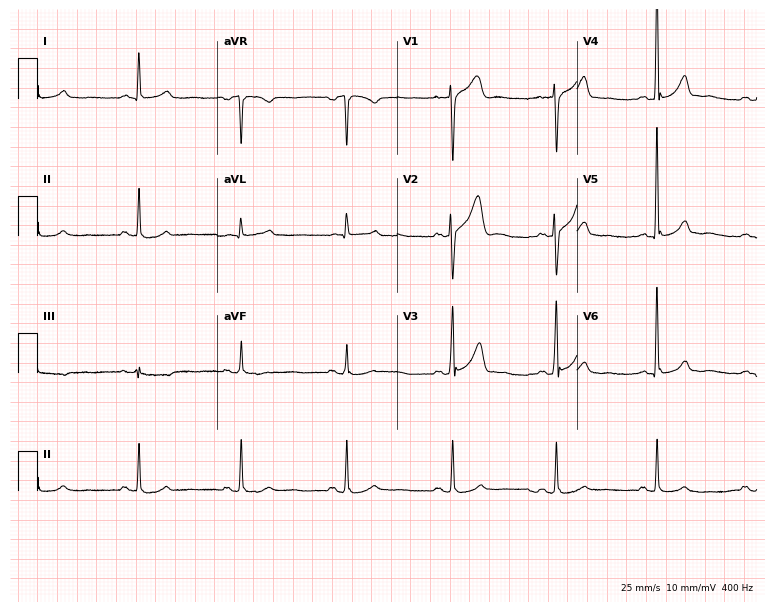
12-lead ECG (7.3-second recording at 400 Hz) from a man, 48 years old. Screened for six findings — first-degree AV block, right bundle branch block, left bundle branch block, sinus bradycardia, atrial fibrillation, sinus tachycardia — none is recorded.